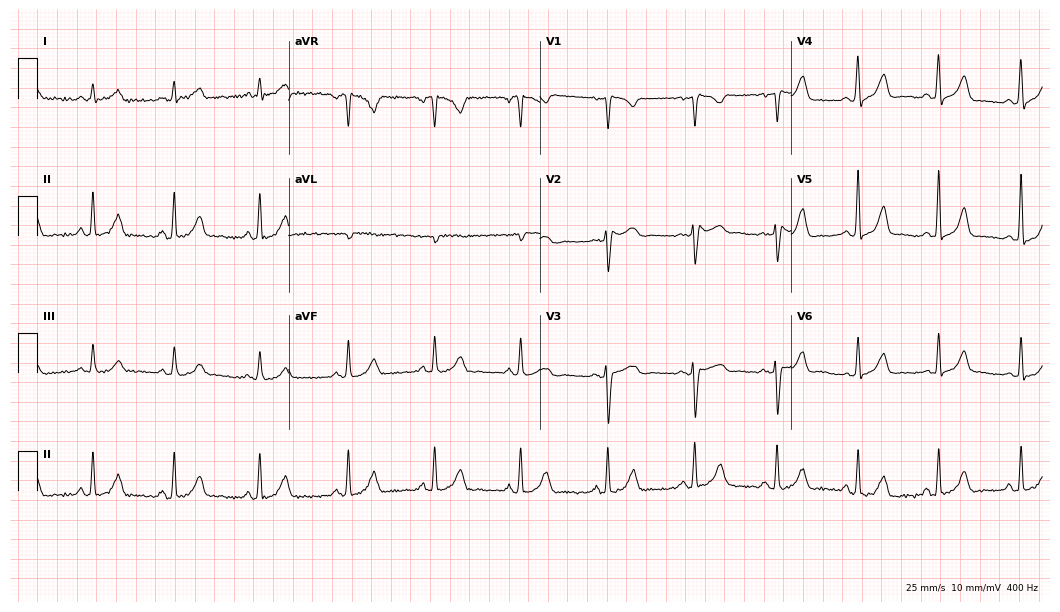
ECG (10.2-second recording at 400 Hz) — a female patient, 45 years old. Labelled as a normal ECG.